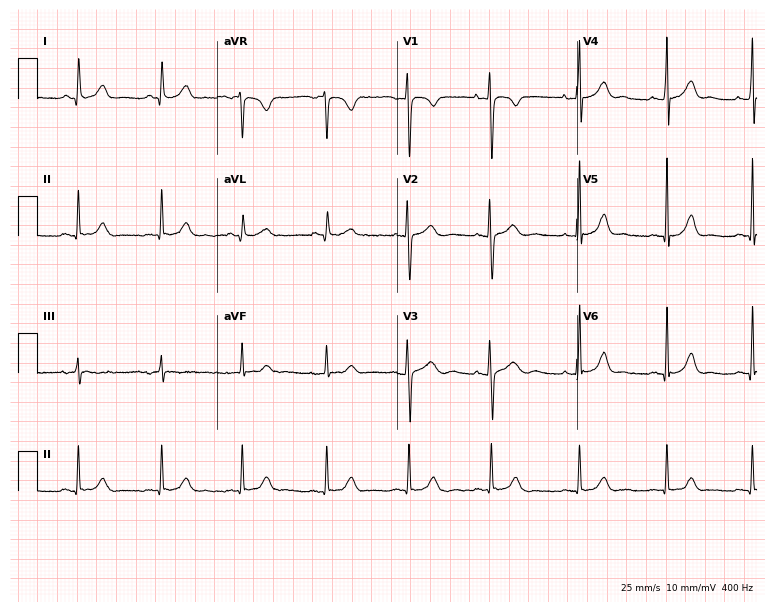
ECG (7.3-second recording at 400 Hz) — a female, 30 years old. Screened for six findings — first-degree AV block, right bundle branch block (RBBB), left bundle branch block (LBBB), sinus bradycardia, atrial fibrillation (AF), sinus tachycardia — none is recorded. Other findings, if any, are not listed.